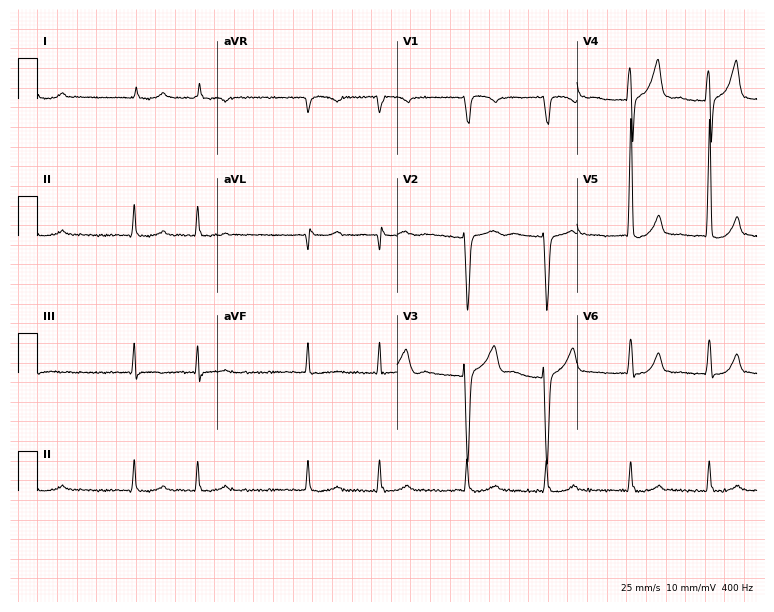
12-lead ECG from a 52-year-old female. Screened for six findings — first-degree AV block, right bundle branch block, left bundle branch block, sinus bradycardia, atrial fibrillation, sinus tachycardia — none is recorded.